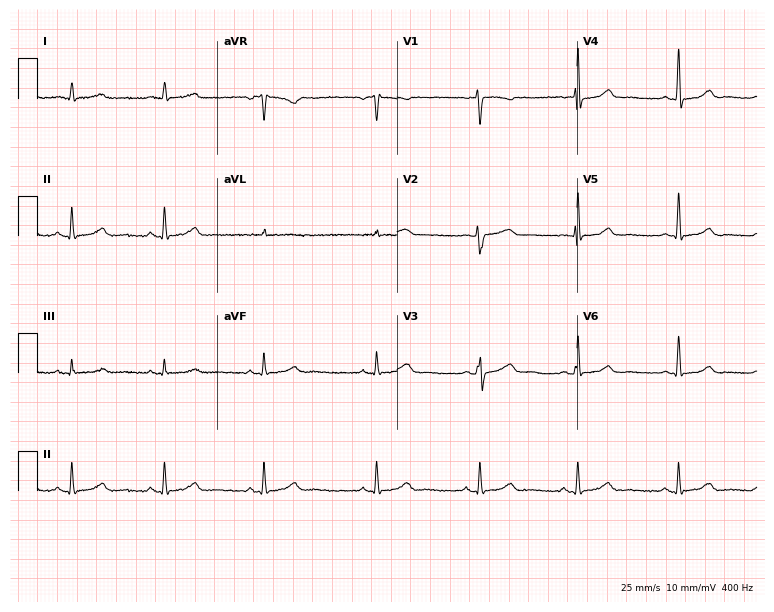
Electrocardiogram (7.3-second recording at 400 Hz), a 43-year-old female. Overall reading on record: normal ECG.